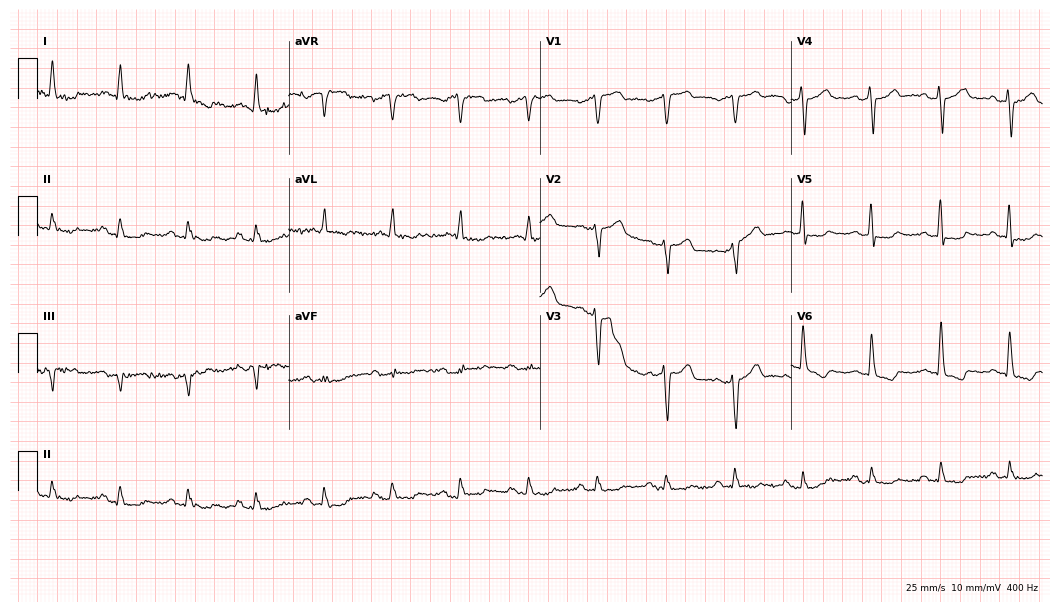
Resting 12-lead electrocardiogram. Patient: a 76-year-old male. None of these six findings is recorded: first-degree AV block, right bundle branch block (RBBB), left bundle branch block (LBBB), sinus bradycardia, atrial fibrillation (AF), sinus tachycardia.